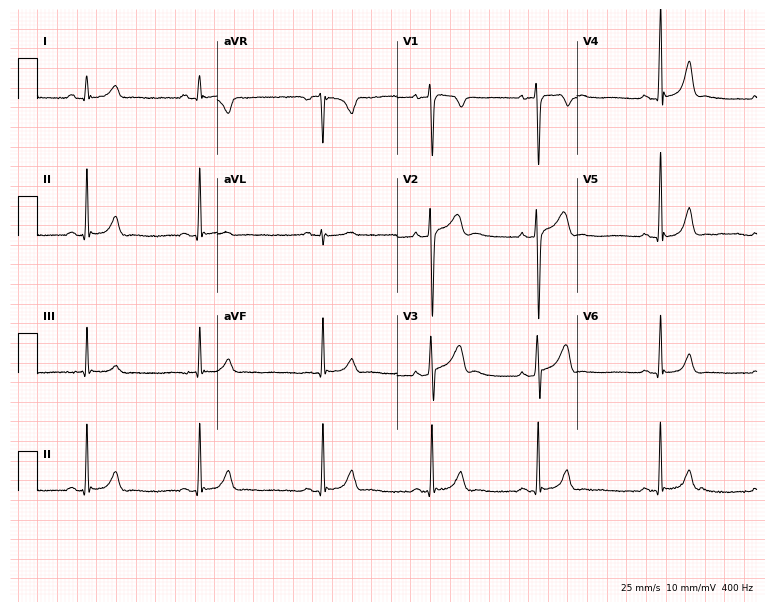
Standard 12-lead ECG recorded from a 22-year-old man. Read as a normal ECG.